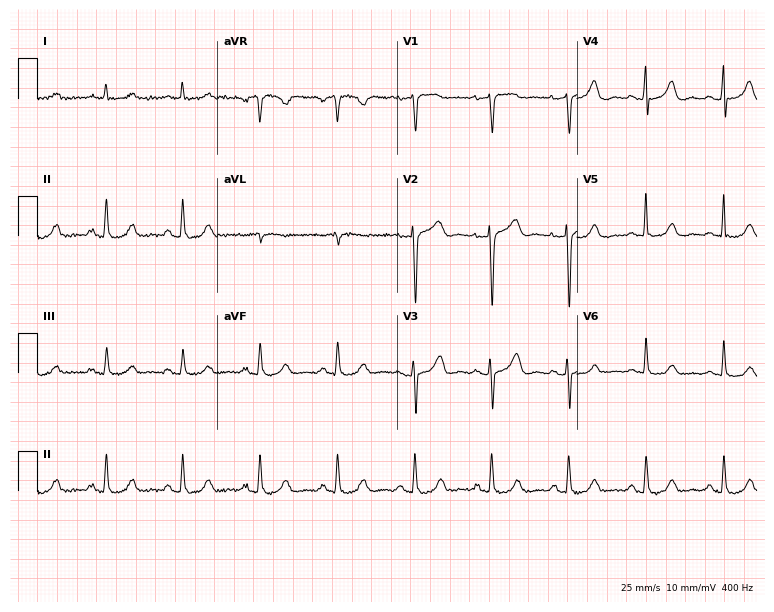
Electrocardiogram (7.3-second recording at 400 Hz), a female patient, 76 years old. Overall reading on record: normal ECG.